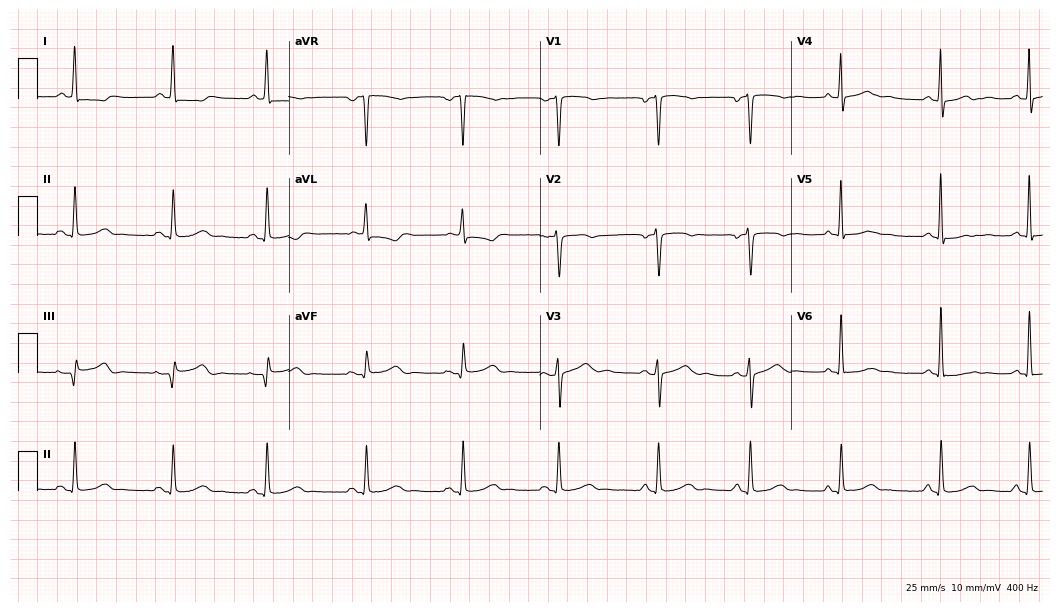
ECG (10.2-second recording at 400 Hz) — a female patient, 47 years old. Labelled as a normal ECG.